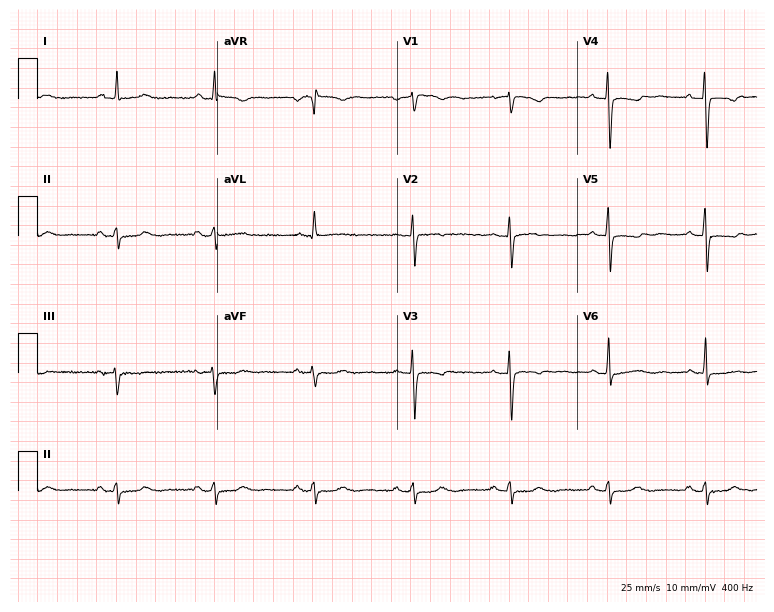
12-lead ECG from a 57-year-old woman. Screened for six findings — first-degree AV block, right bundle branch block, left bundle branch block, sinus bradycardia, atrial fibrillation, sinus tachycardia — none is recorded. Only these six findings were labelled.